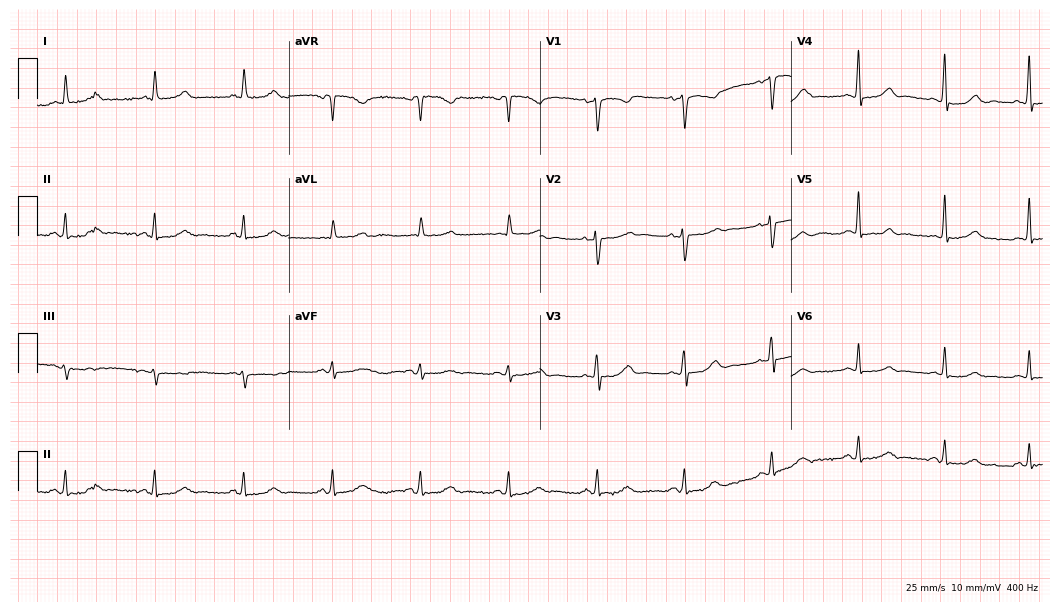
12-lead ECG (10.2-second recording at 400 Hz) from a female, 67 years old. Labelled as a normal ECG.